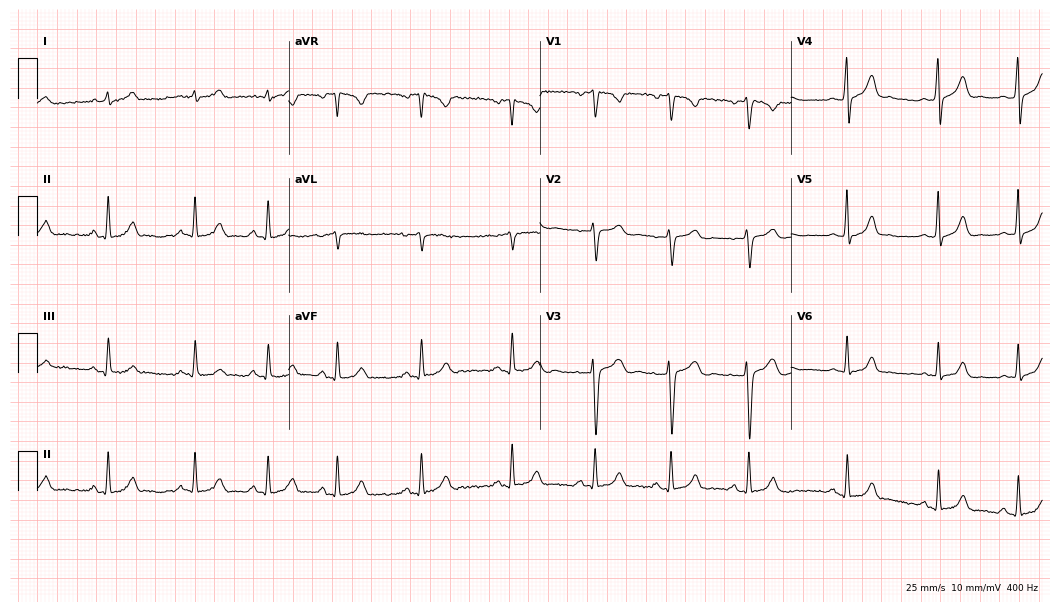
12-lead ECG from a female patient, 23 years old. Recorded interpretation: within normal limits.